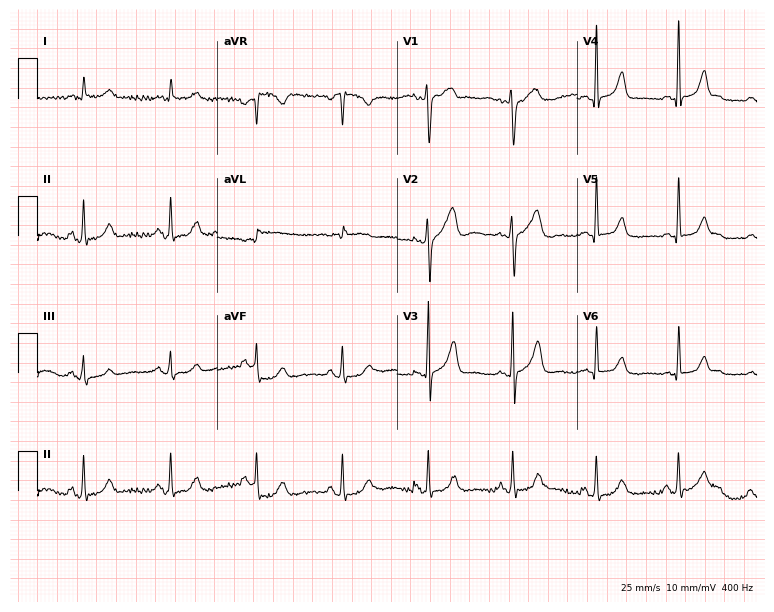
Electrocardiogram (7.3-second recording at 400 Hz), a male patient, 57 years old. Of the six screened findings (first-degree AV block, right bundle branch block, left bundle branch block, sinus bradycardia, atrial fibrillation, sinus tachycardia), none is recorded.